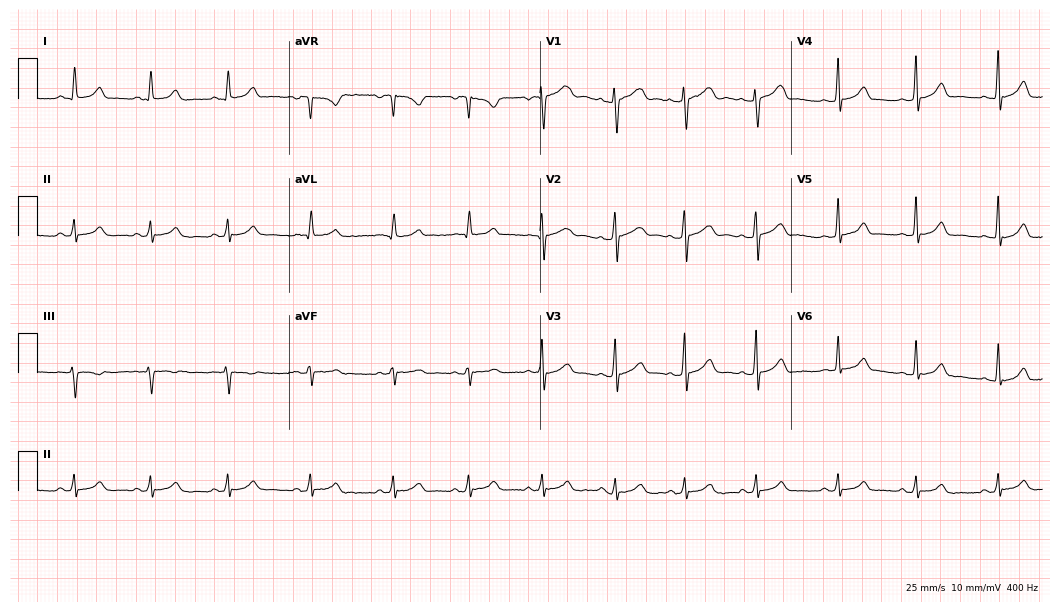
Standard 12-lead ECG recorded from a 25-year-old female (10.2-second recording at 400 Hz). Read as a normal ECG.